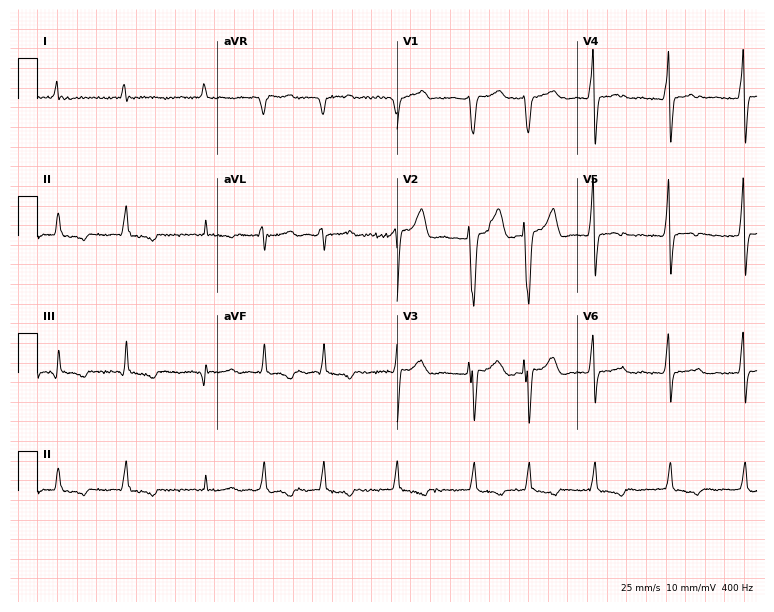
ECG — a 71-year-old man. Findings include atrial fibrillation (AF).